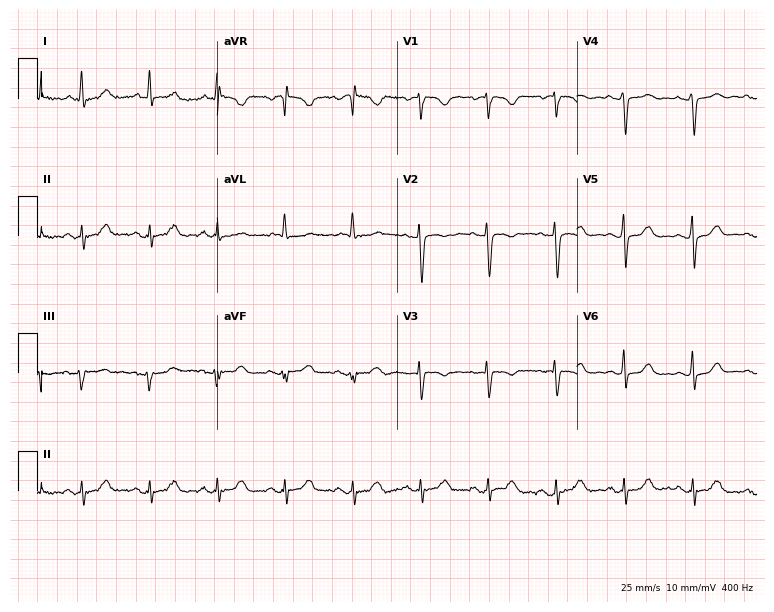
ECG (7.3-second recording at 400 Hz) — a 69-year-old female. Screened for six findings — first-degree AV block, right bundle branch block (RBBB), left bundle branch block (LBBB), sinus bradycardia, atrial fibrillation (AF), sinus tachycardia — none is recorded. Findings outside these six are not listed.